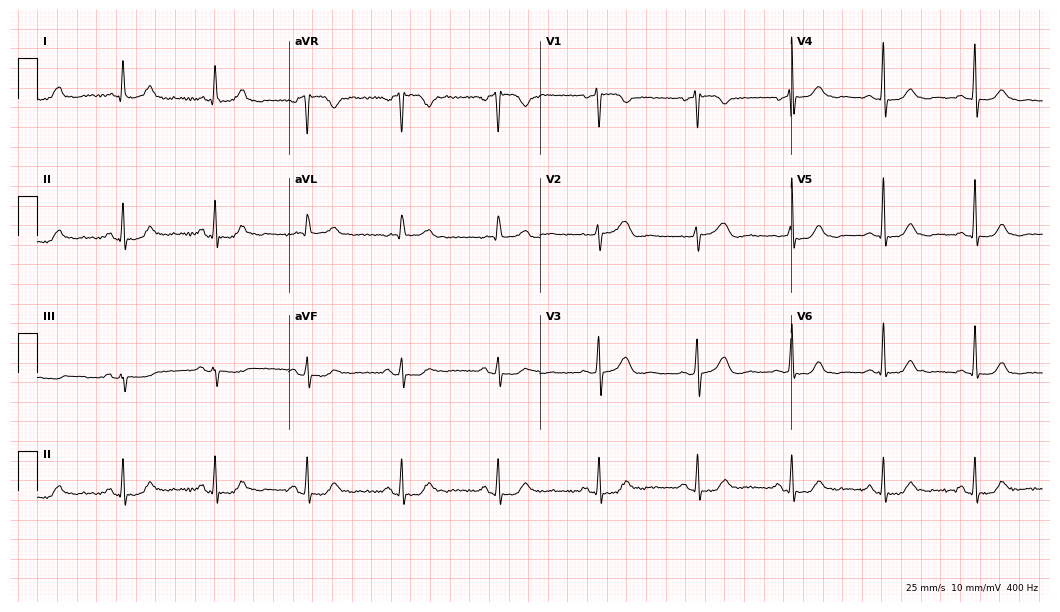
Electrocardiogram, a female, 72 years old. Overall reading on record: normal ECG.